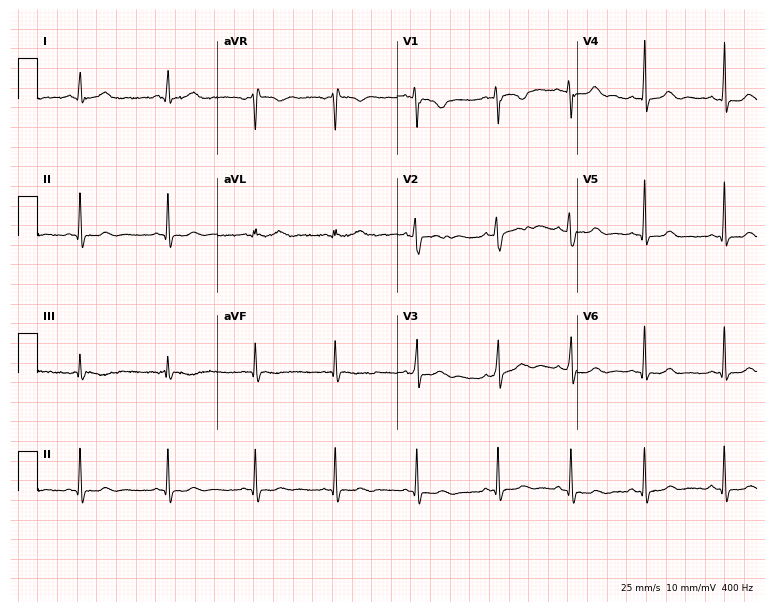
Standard 12-lead ECG recorded from a 25-year-old female. None of these six findings is recorded: first-degree AV block, right bundle branch block, left bundle branch block, sinus bradycardia, atrial fibrillation, sinus tachycardia.